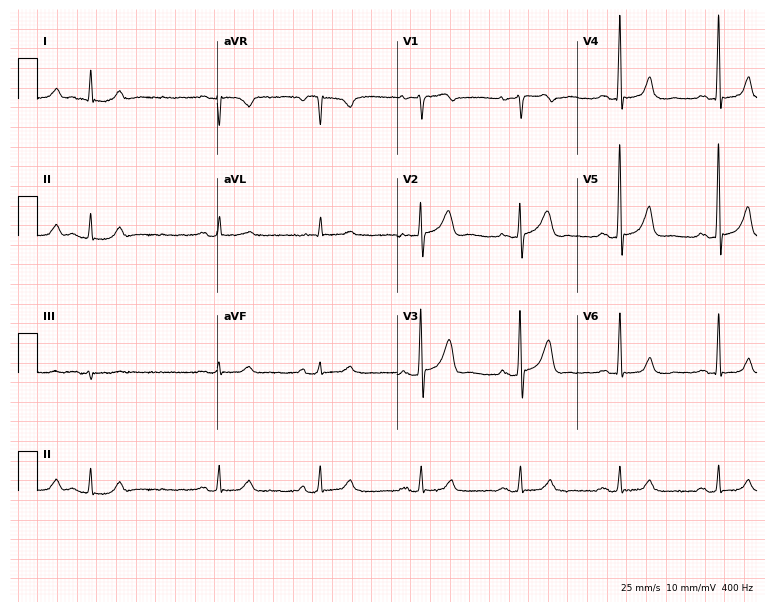
12-lead ECG from an 81-year-old male (7.3-second recording at 400 Hz). No first-degree AV block, right bundle branch block, left bundle branch block, sinus bradycardia, atrial fibrillation or sinus tachycardia recorded for this tracing. Findings outside these six are not listed.